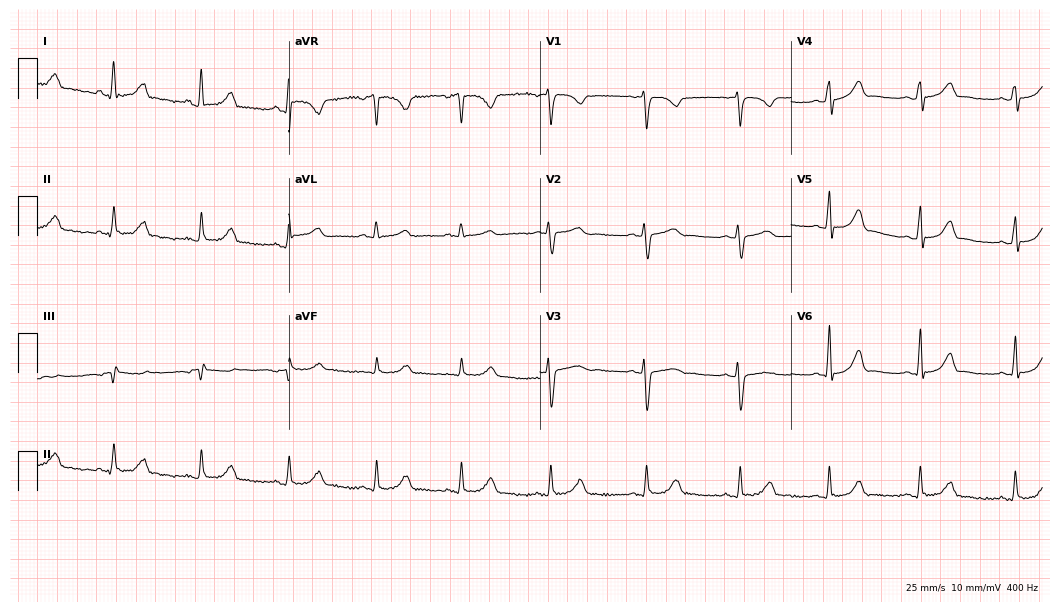
12-lead ECG from a female patient, 37 years old. Labelled as a normal ECG.